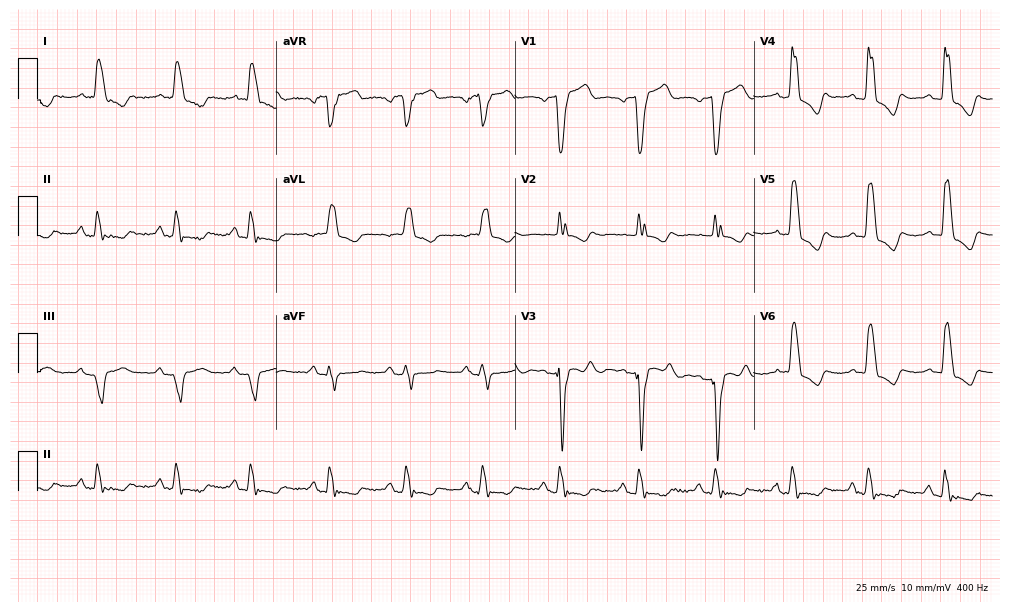
Resting 12-lead electrocardiogram (9.7-second recording at 400 Hz). Patient: a male, 81 years old. The tracing shows left bundle branch block (LBBB).